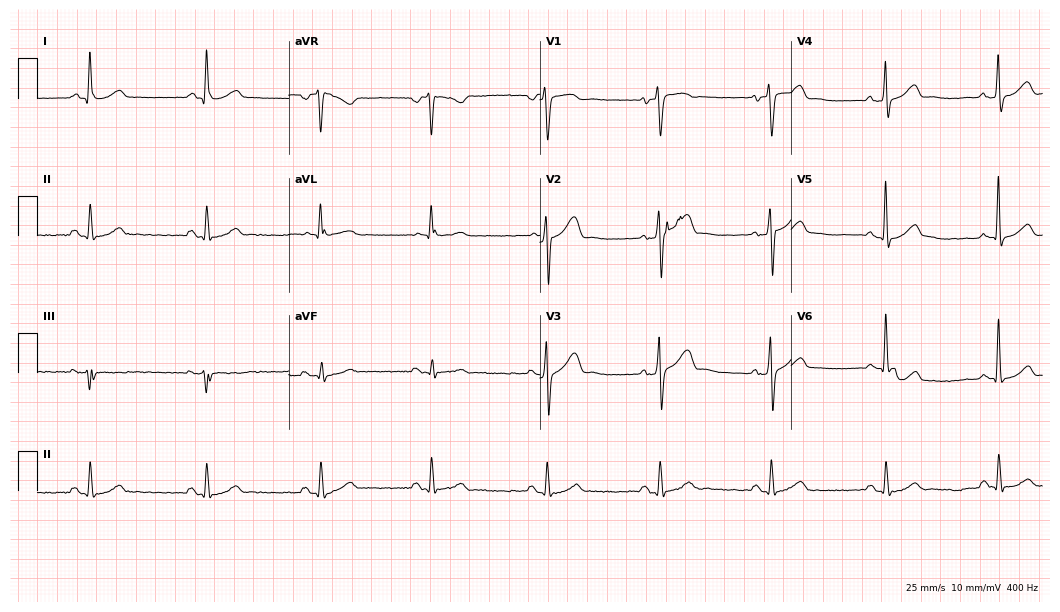
Standard 12-lead ECG recorded from a female patient, 48 years old (10.2-second recording at 400 Hz). None of these six findings is recorded: first-degree AV block, right bundle branch block, left bundle branch block, sinus bradycardia, atrial fibrillation, sinus tachycardia.